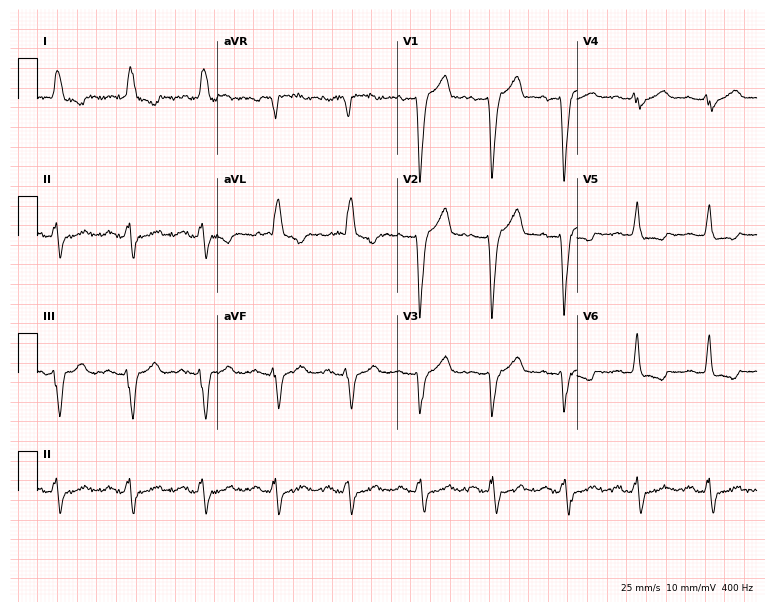
Electrocardiogram (7.3-second recording at 400 Hz), a 76-year-old male patient. Interpretation includes left bundle branch block (LBBB).